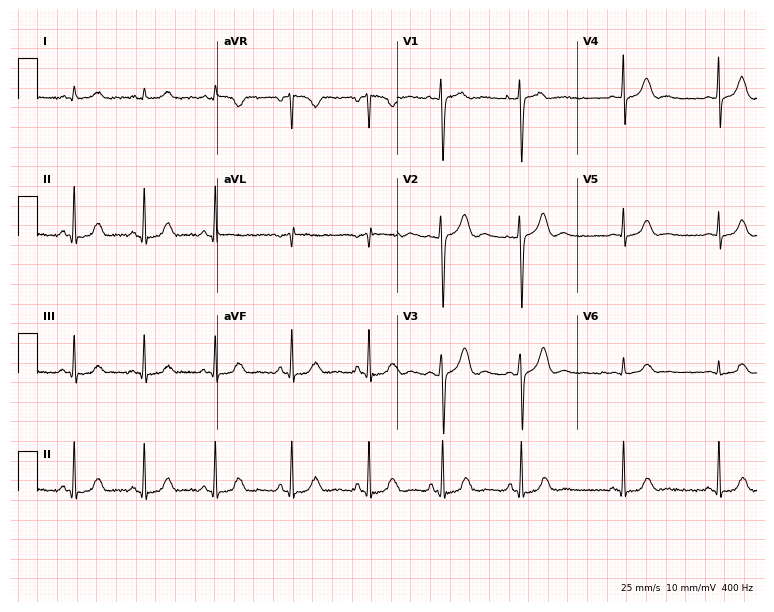
Resting 12-lead electrocardiogram. Patient: a 28-year-old female. Read as a normal ECG.